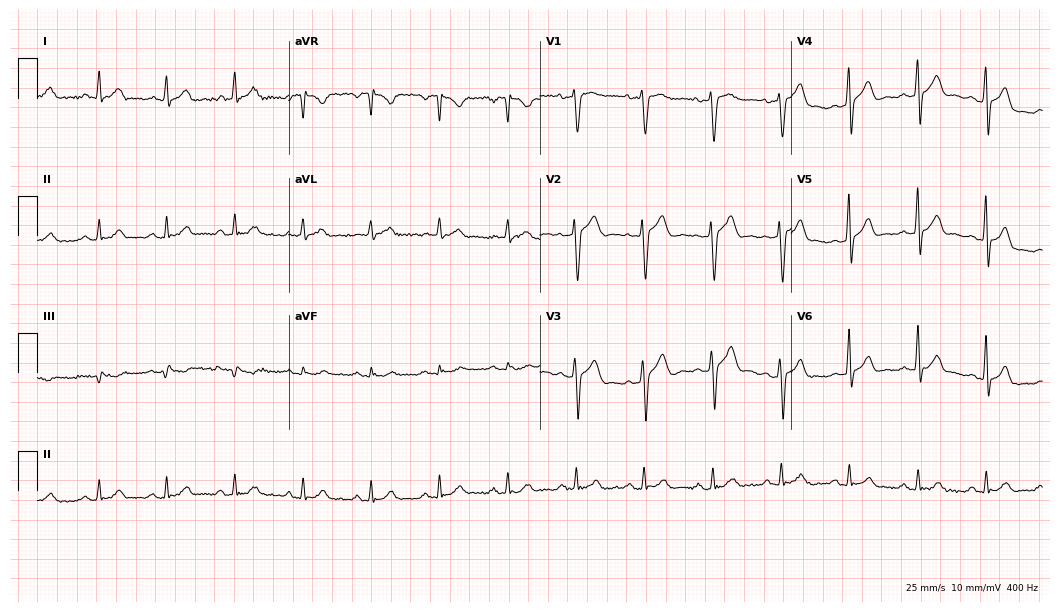
ECG — a male patient, 58 years old. Screened for six findings — first-degree AV block, right bundle branch block (RBBB), left bundle branch block (LBBB), sinus bradycardia, atrial fibrillation (AF), sinus tachycardia — none is recorded. Other findings, if any, are not listed.